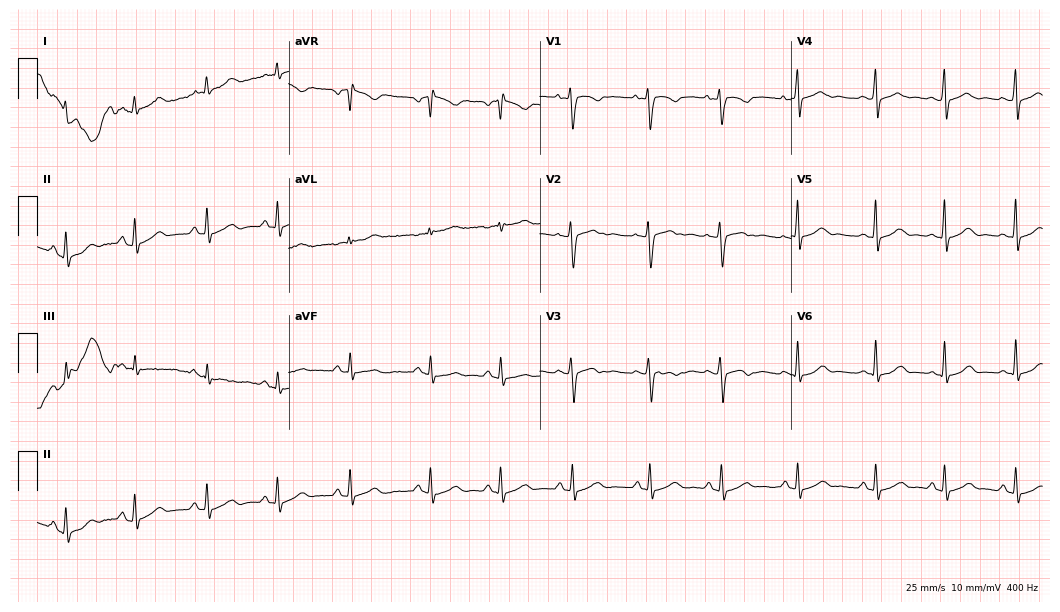
12-lead ECG (10.2-second recording at 400 Hz) from a female, 17 years old. Labelled as a normal ECG.